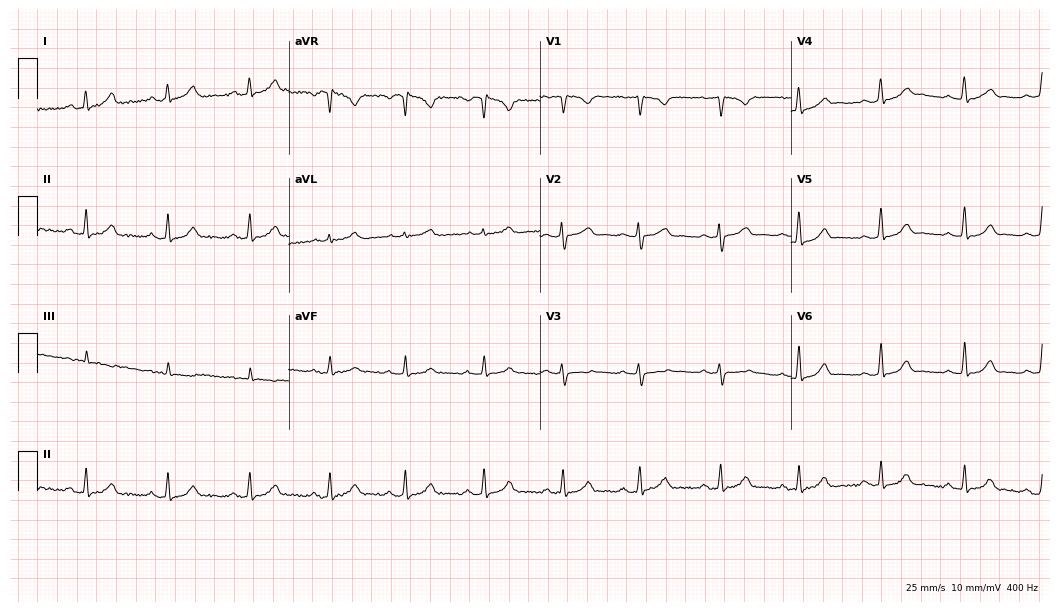
ECG — a female, 24 years old. Labelled as a normal ECG.